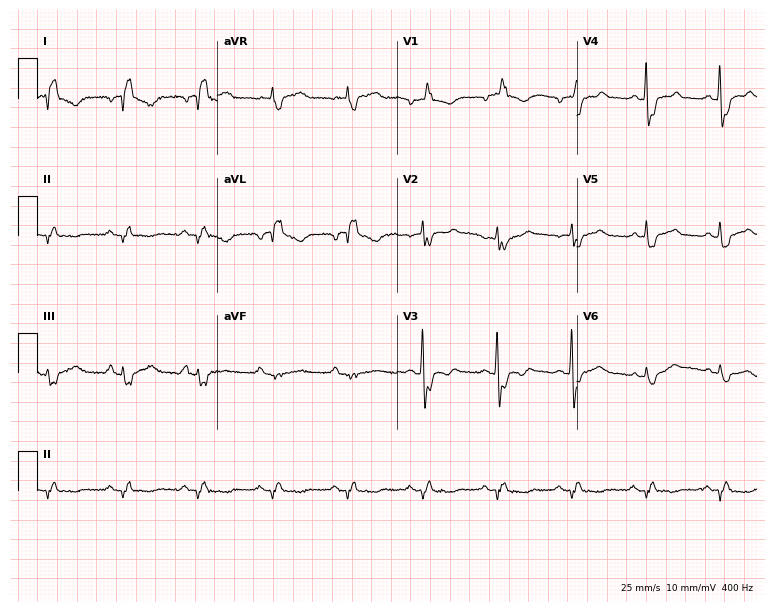
Electrocardiogram (7.3-second recording at 400 Hz), a 60-year-old man. Of the six screened findings (first-degree AV block, right bundle branch block (RBBB), left bundle branch block (LBBB), sinus bradycardia, atrial fibrillation (AF), sinus tachycardia), none is recorded. Other findings, if any, are not listed.